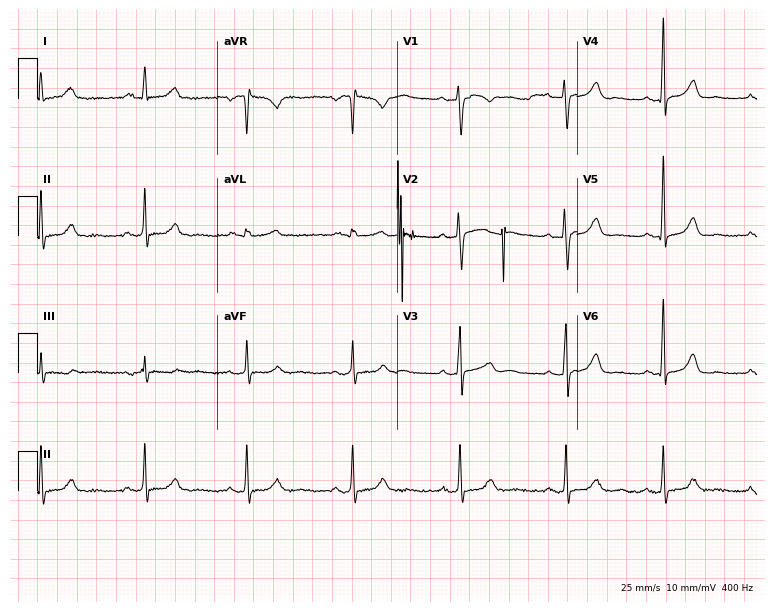
Resting 12-lead electrocardiogram (7.3-second recording at 400 Hz). Patient: a female, 26 years old. Read as a normal ECG.